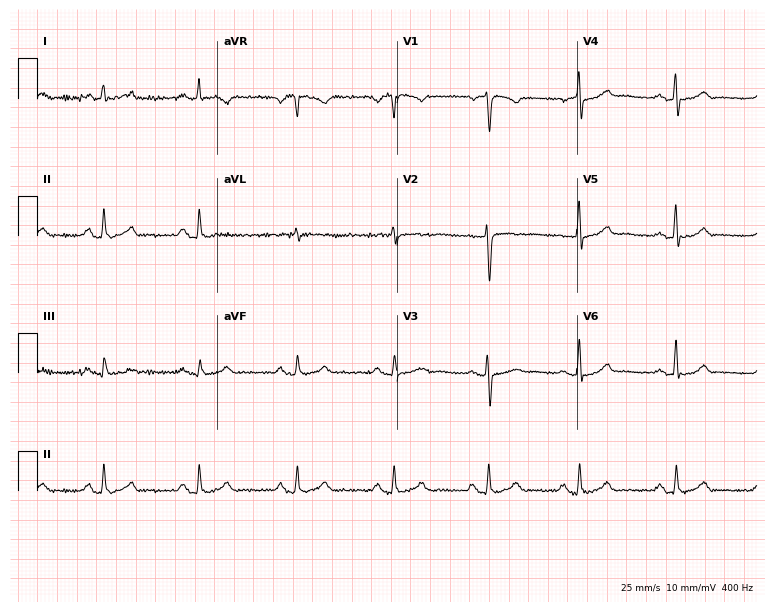
12-lead ECG from a 55-year-old female patient. Recorded interpretation: within normal limits.